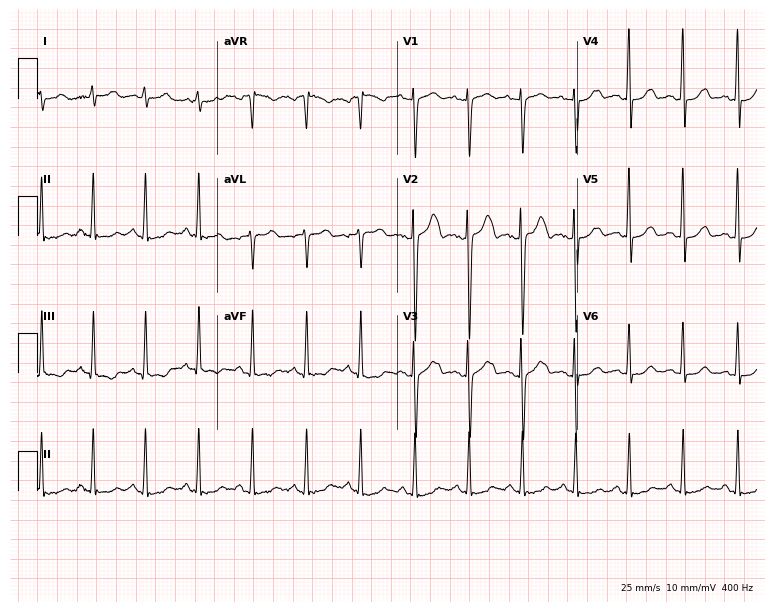
12-lead ECG from a 23-year-old woman (7.3-second recording at 400 Hz). Shows sinus tachycardia (a sinus rate of 100 beats per minute or more).